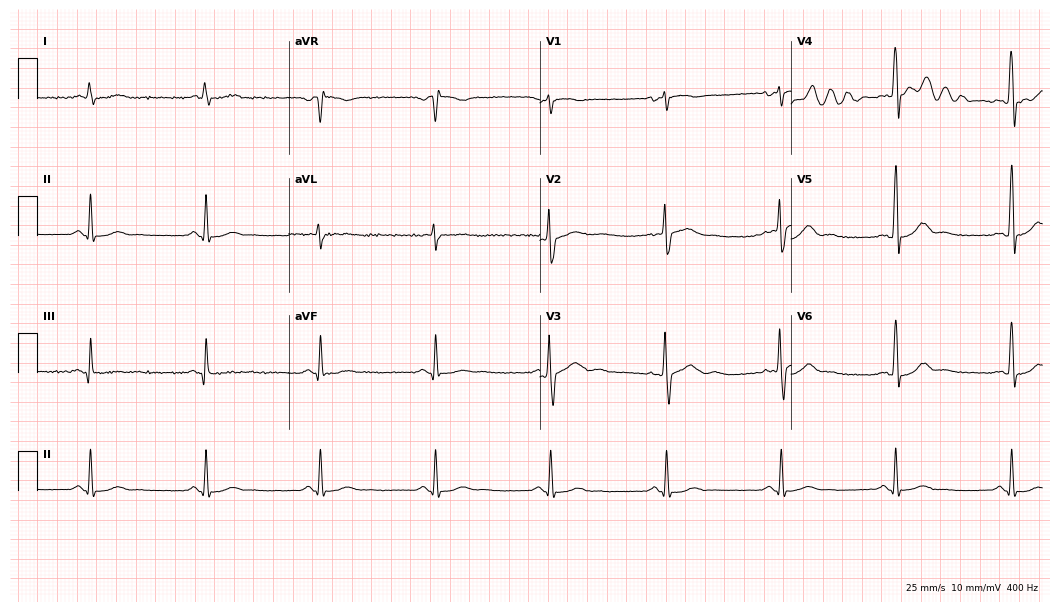
12-lead ECG from a male patient, 64 years old. Labelled as a normal ECG.